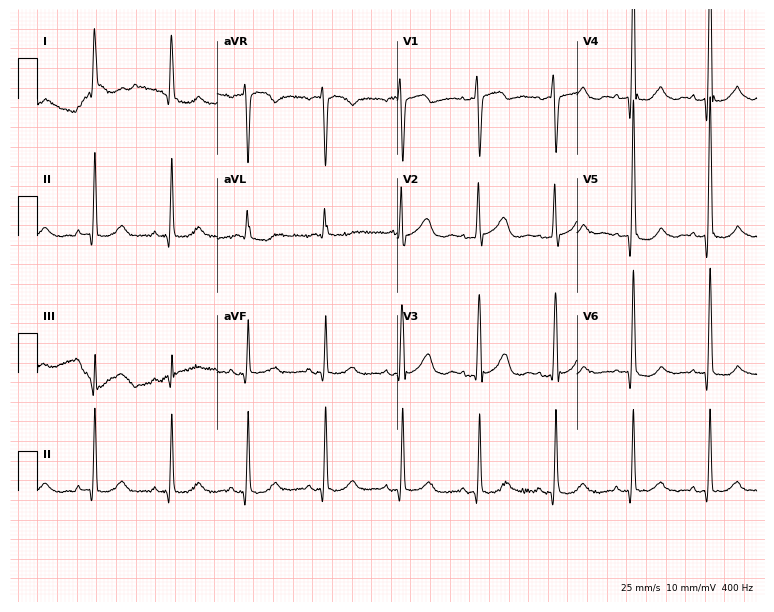
12-lead ECG (7.3-second recording at 400 Hz) from an 81-year-old woman. Screened for six findings — first-degree AV block, right bundle branch block, left bundle branch block, sinus bradycardia, atrial fibrillation, sinus tachycardia — none is recorded. Other findings, if any, are not listed.